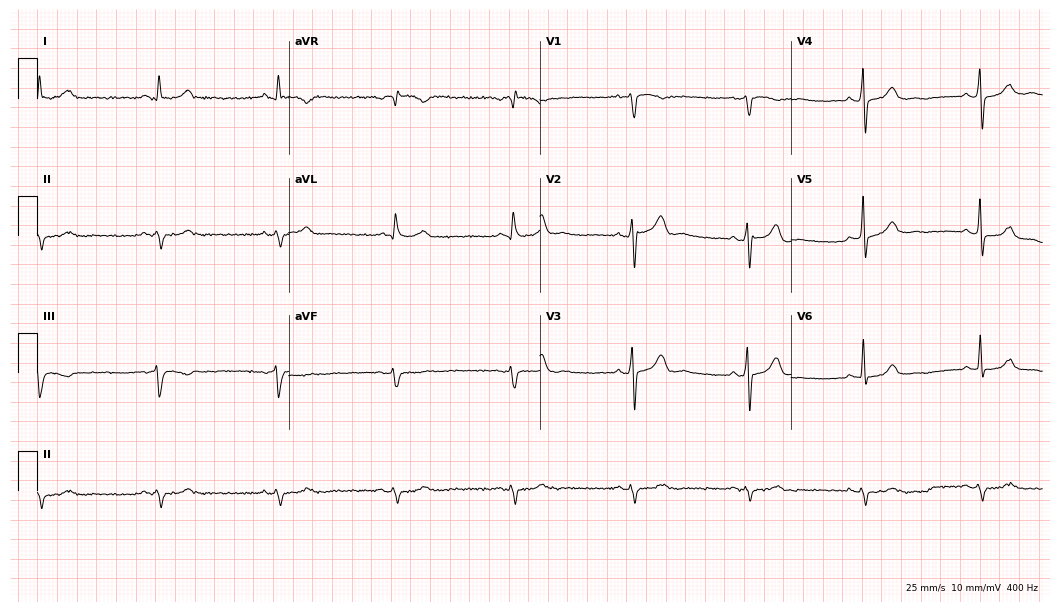
12-lead ECG (10.2-second recording at 400 Hz) from a male, 69 years old. Findings include sinus bradycardia (a sinus rate of 50 beats per minute or less).